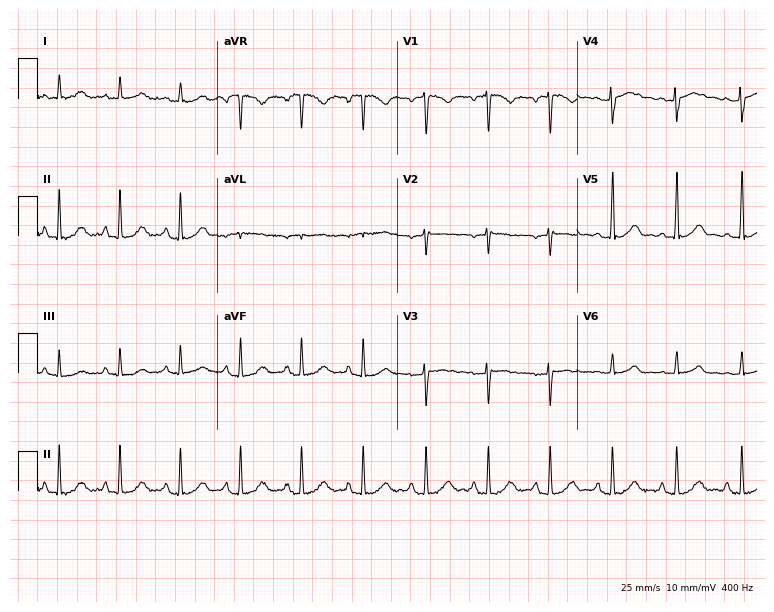
12-lead ECG from a woman, 34 years old. Screened for six findings — first-degree AV block, right bundle branch block (RBBB), left bundle branch block (LBBB), sinus bradycardia, atrial fibrillation (AF), sinus tachycardia — none is recorded.